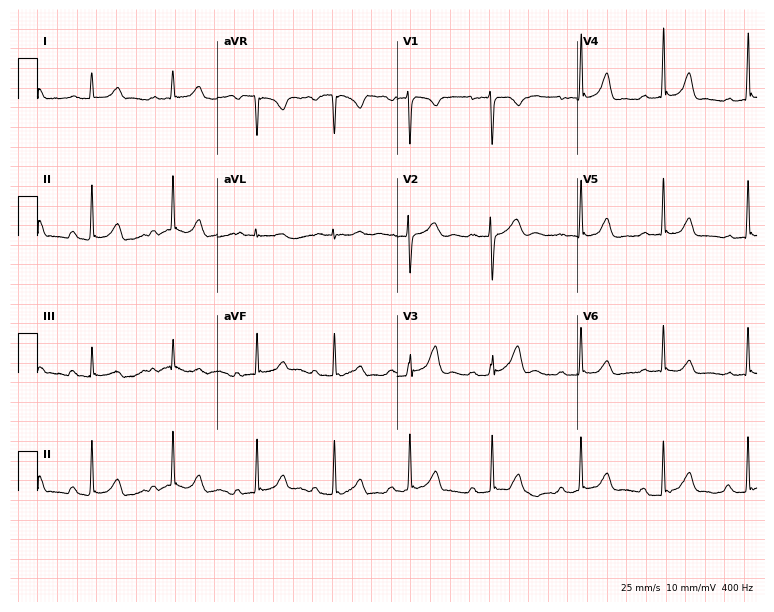
Resting 12-lead electrocardiogram (7.3-second recording at 400 Hz). Patient: a woman, 25 years old. Read as a normal ECG.